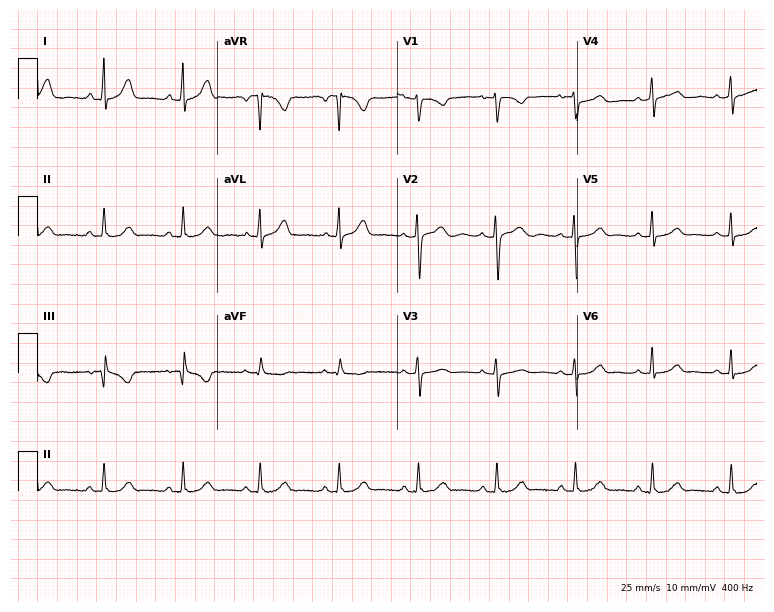
ECG — a 32-year-old woman. Screened for six findings — first-degree AV block, right bundle branch block (RBBB), left bundle branch block (LBBB), sinus bradycardia, atrial fibrillation (AF), sinus tachycardia — none is recorded. Only these six findings were labelled.